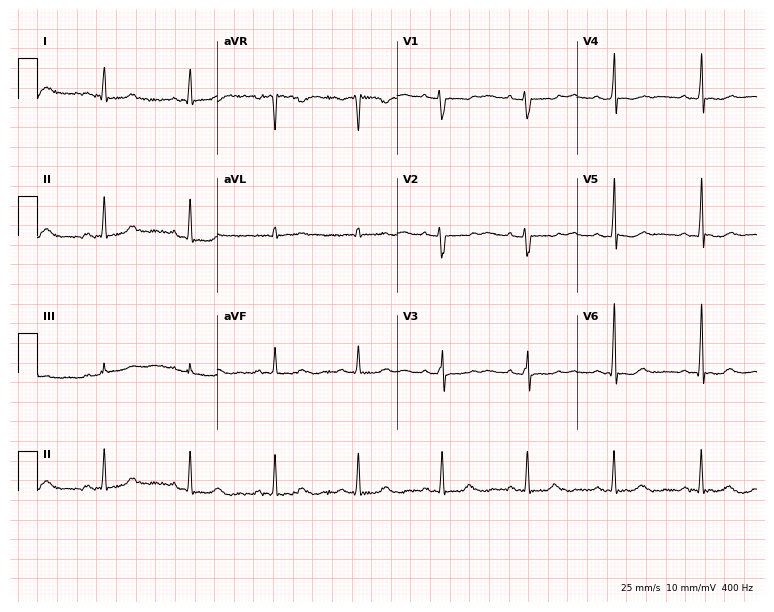
Resting 12-lead electrocardiogram (7.3-second recording at 400 Hz). Patient: a 38-year-old female. Read as a normal ECG.